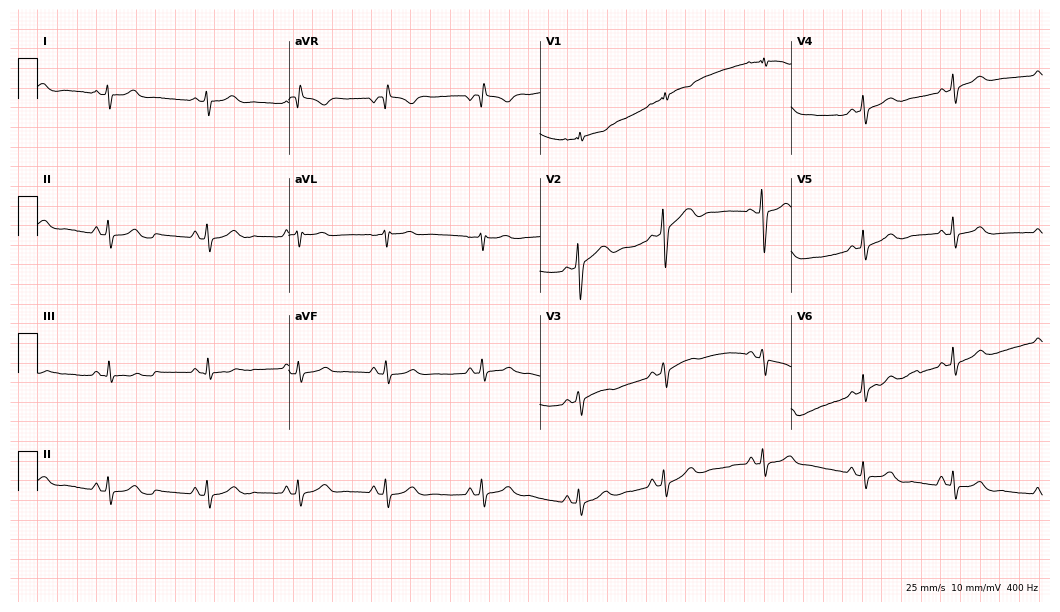
12-lead ECG from a 38-year-old female. Recorded interpretation: within normal limits.